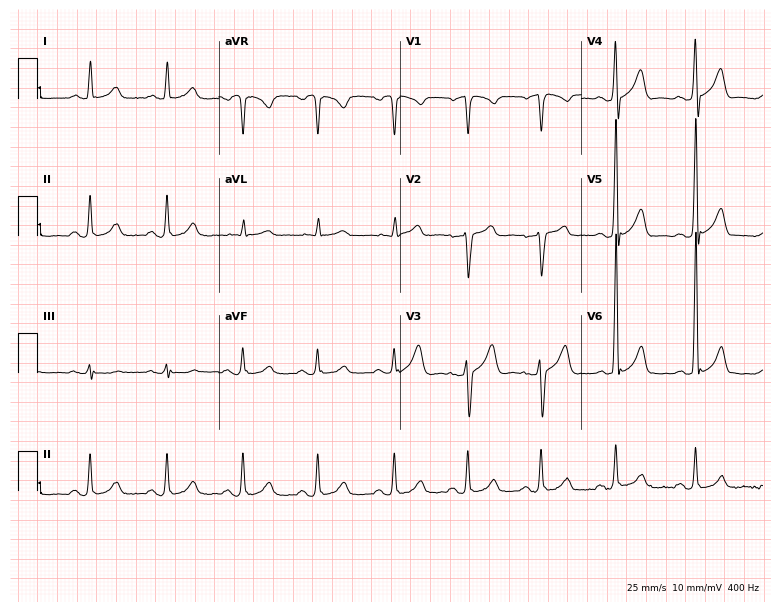
12-lead ECG from a male patient, 58 years old. No first-degree AV block, right bundle branch block (RBBB), left bundle branch block (LBBB), sinus bradycardia, atrial fibrillation (AF) or sinus tachycardia recorded for this tracing. Findings outside these six are not listed.